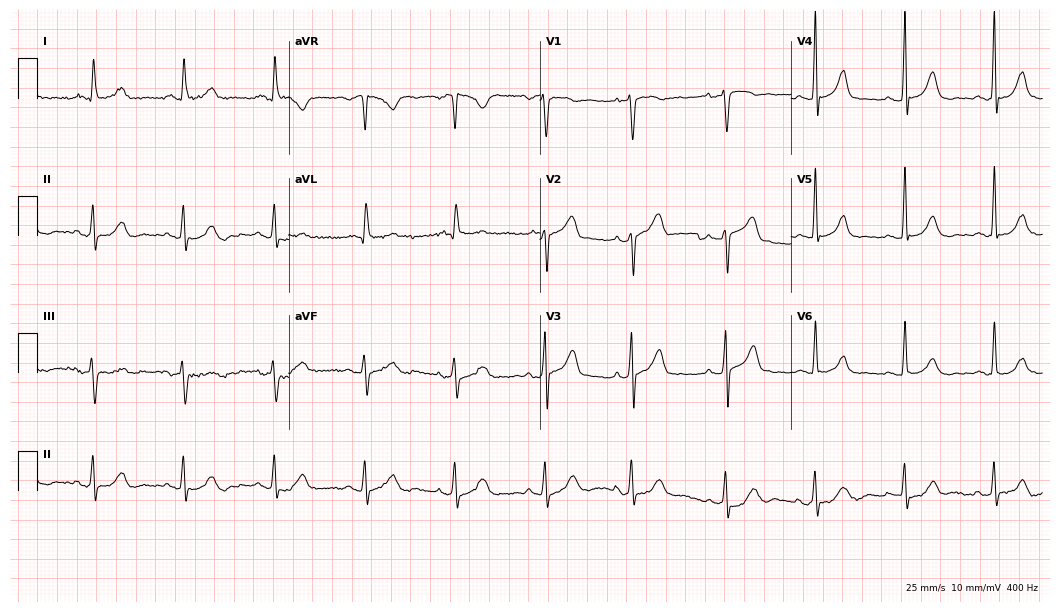
Electrocardiogram, a male patient, 73 years old. Overall reading on record: normal ECG.